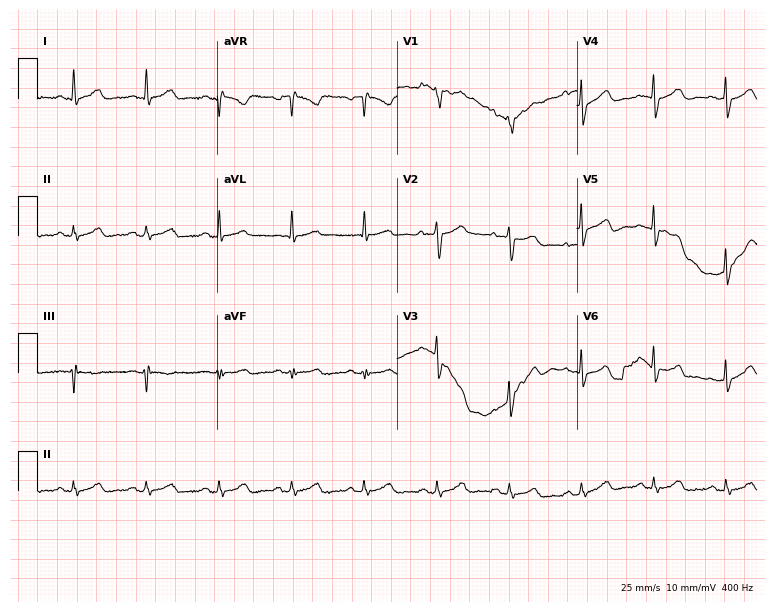
12-lead ECG from a 54-year-old female patient (7.3-second recording at 400 Hz). Recorded interpretation: within normal limits.